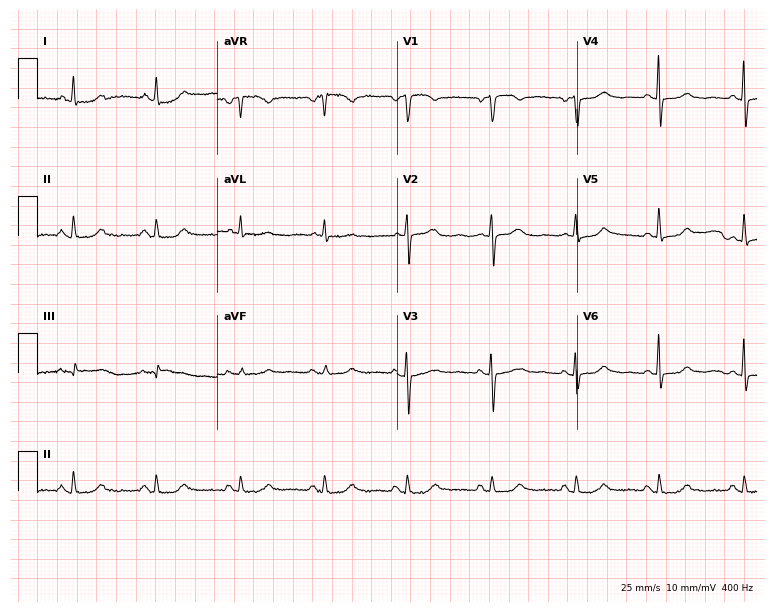
Resting 12-lead electrocardiogram. Patient: a woman, 84 years old. Read as a normal ECG.